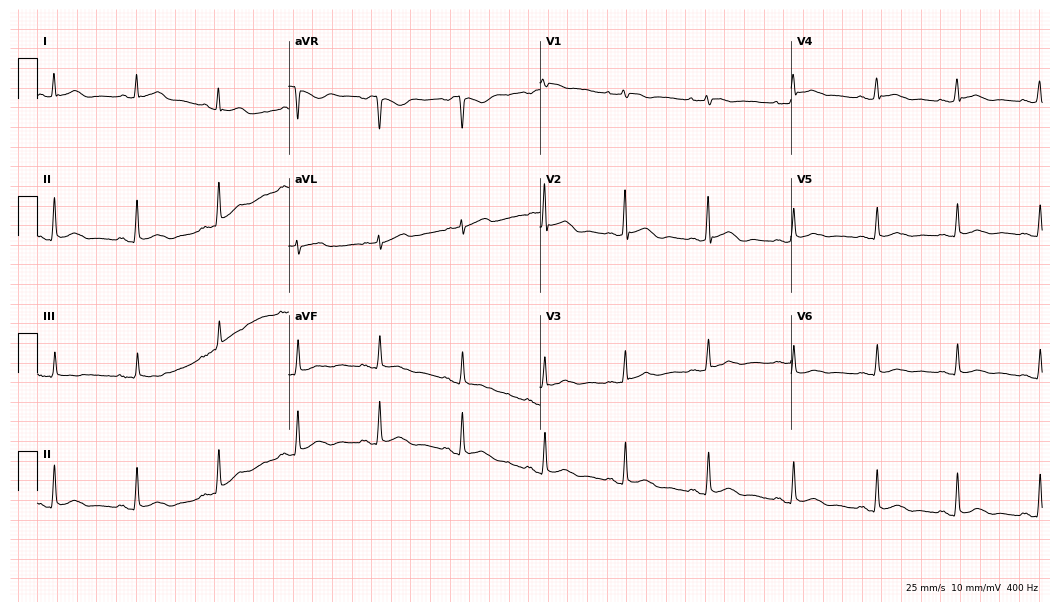
Resting 12-lead electrocardiogram. Patient: a female, 48 years old. Read as a normal ECG.